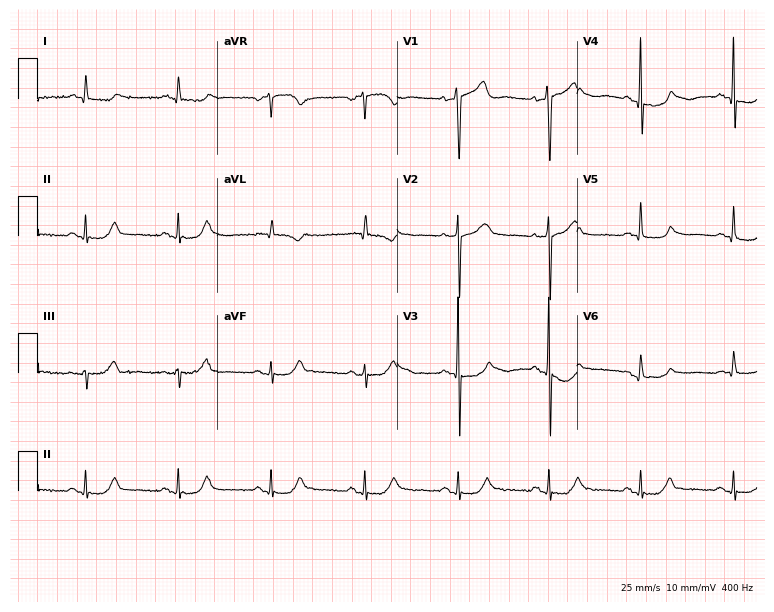
12-lead ECG from a man, 65 years old. Screened for six findings — first-degree AV block, right bundle branch block, left bundle branch block, sinus bradycardia, atrial fibrillation, sinus tachycardia — none is recorded. Findings outside these six are not listed.